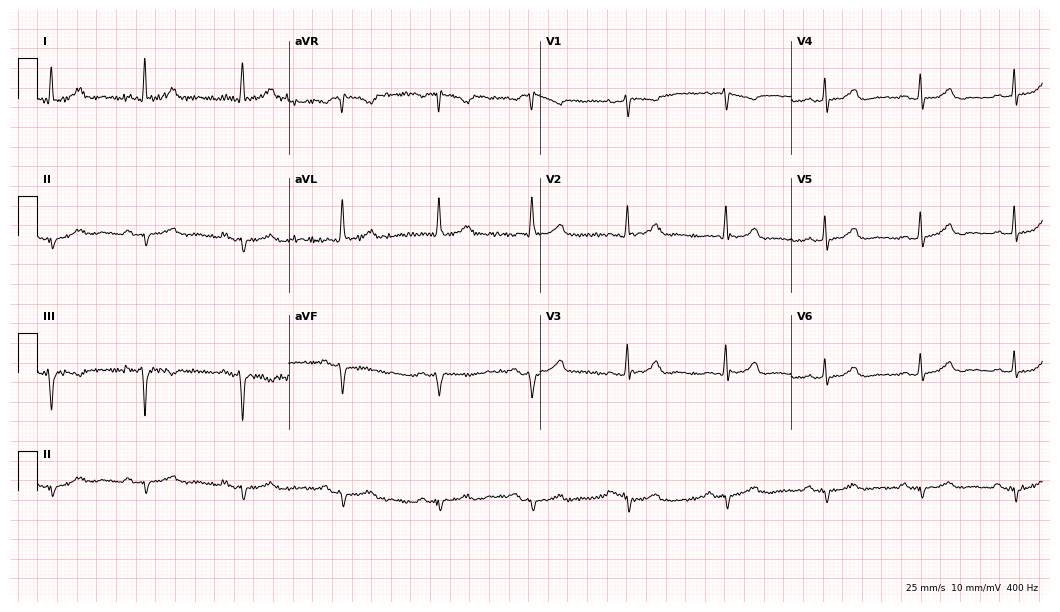
12-lead ECG (10.2-second recording at 400 Hz) from a female patient, 62 years old. Screened for six findings — first-degree AV block, right bundle branch block, left bundle branch block, sinus bradycardia, atrial fibrillation, sinus tachycardia — none is recorded.